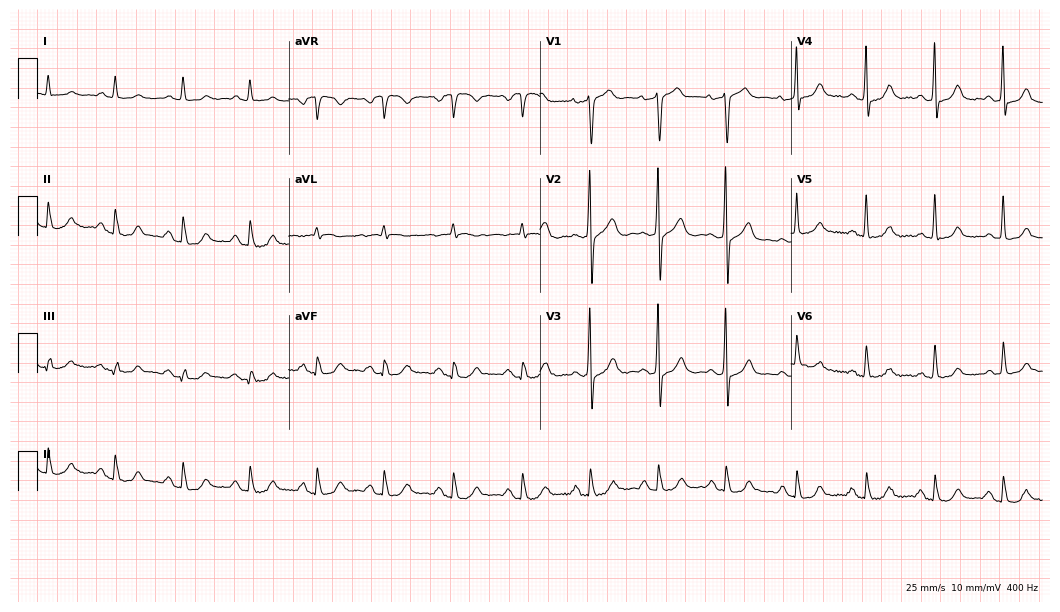
ECG (10.2-second recording at 400 Hz) — a 68-year-old male. Screened for six findings — first-degree AV block, right bundle branch block, left bundle branch block, sinus bradycardia, atrial fibrillation, sinus tachycardia — none is recorded. Only these six findings were labelled.